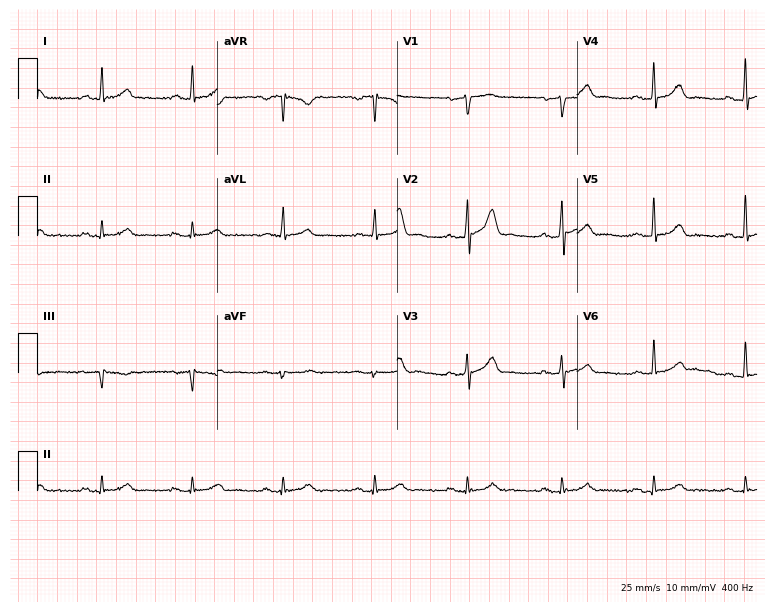
Resting 12-lead electrocardiogram (7.3-second recording at 400 Hz). Patient: a 62-year-old male. Read as a normal ECG.